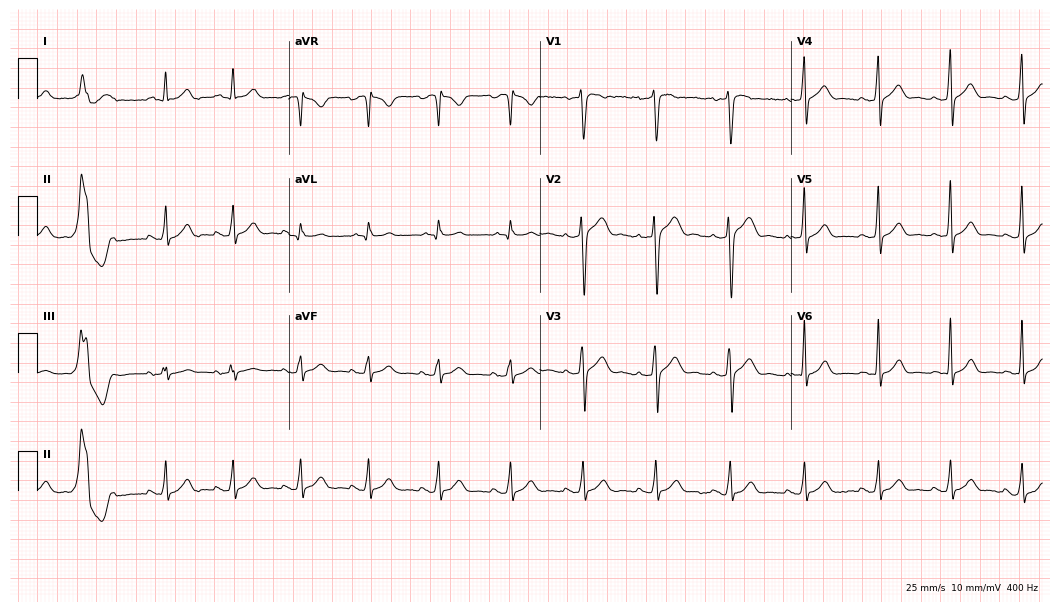
Resting 12-lead electrocardiogram. Patient: a male, 46 years old. Read as a normal ECG.